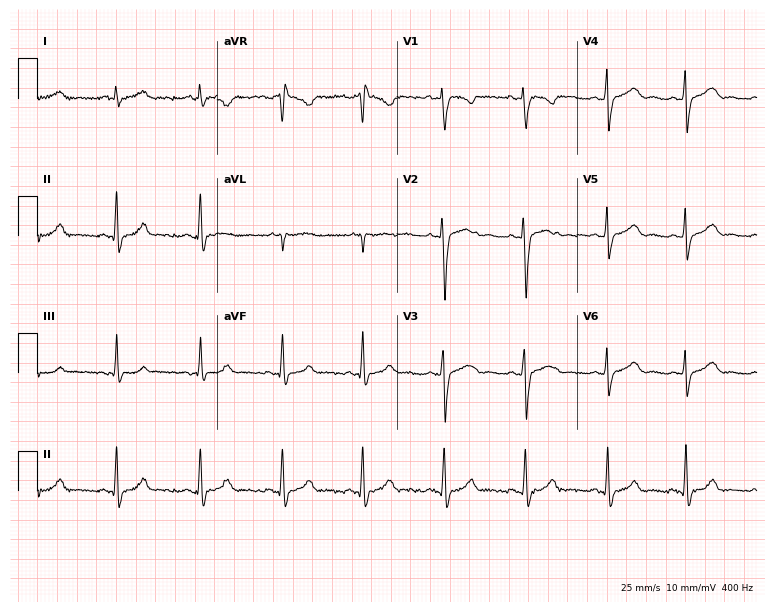
Standard 12-lead ECG recorded from a 30-year-old female (7.3-second recording at 400 Hz). None of these six findings is recorded: first-degree AV block, right bundle branch block, left bundle branch block, sinus bradycardia, atrial fibrillation, sinus tachycardia. Findings outside these six are not listed.